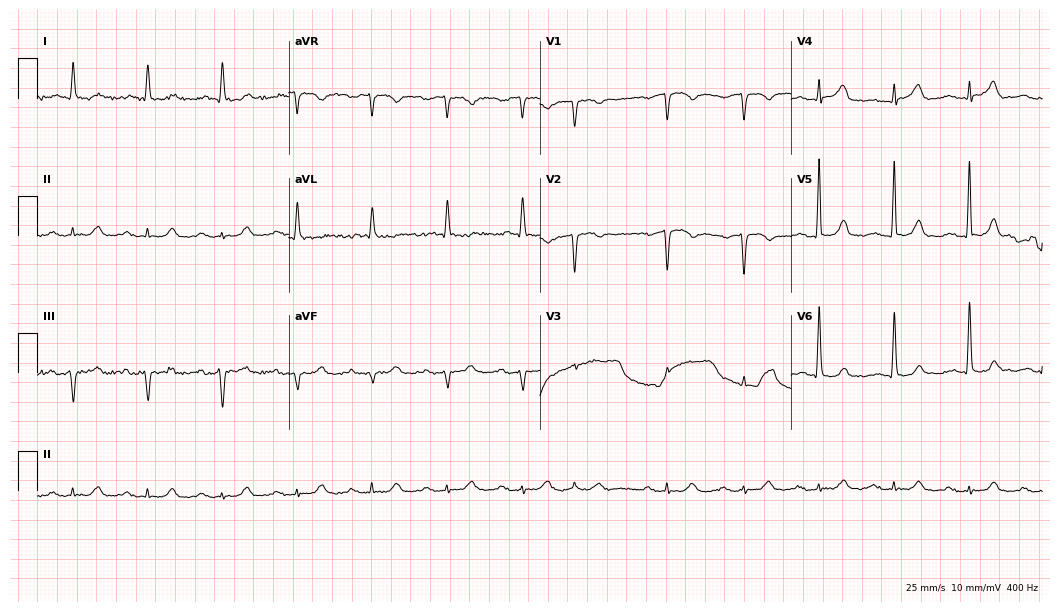
12-lead ECG from an 85-year-old male. Recorded interpretation: within normal limits.